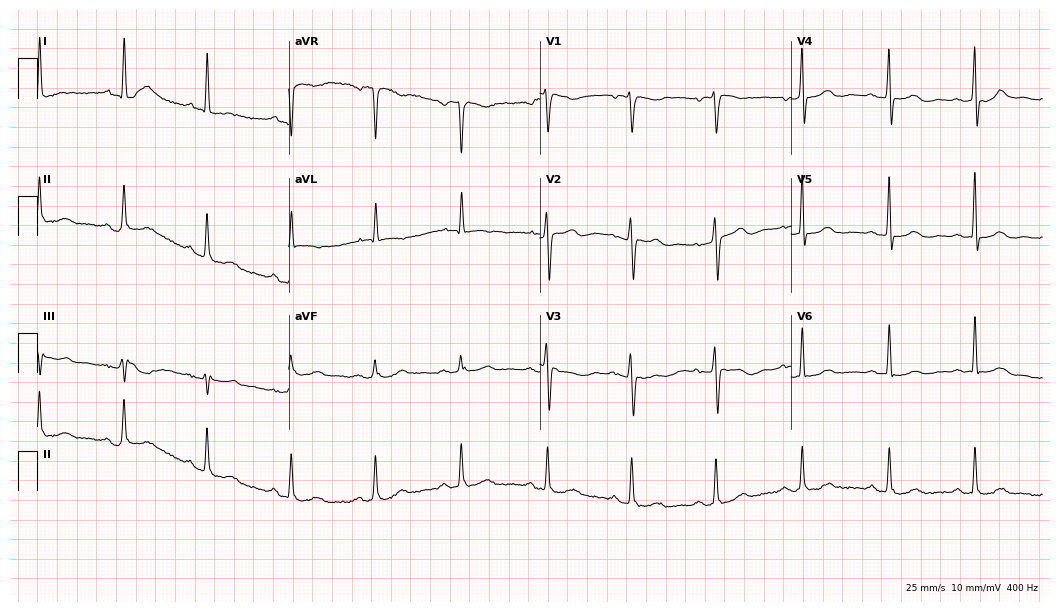
ECG — a female patient, 70 years old. Screened for six findings — first-degree AV block, right bundle branch block (RBBB), left bundle branch block (LBBB), sinus bradycardia, atrial fibrillation (AF), sinus tachycardia — none is recorded. Other findings, if any, are not listed.